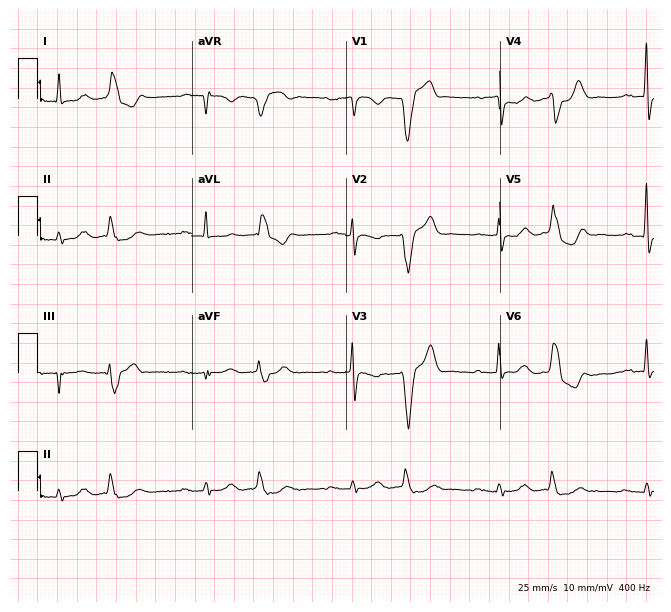
12-lead ECG from a man, 79 years old (6.3-second recording at 400 Hz). No first-degree AV block, right bundle branch block, left bundle branch block, sinus bradycardia, atrial fibrillation or sinus tachycardia recorded for this tracing.